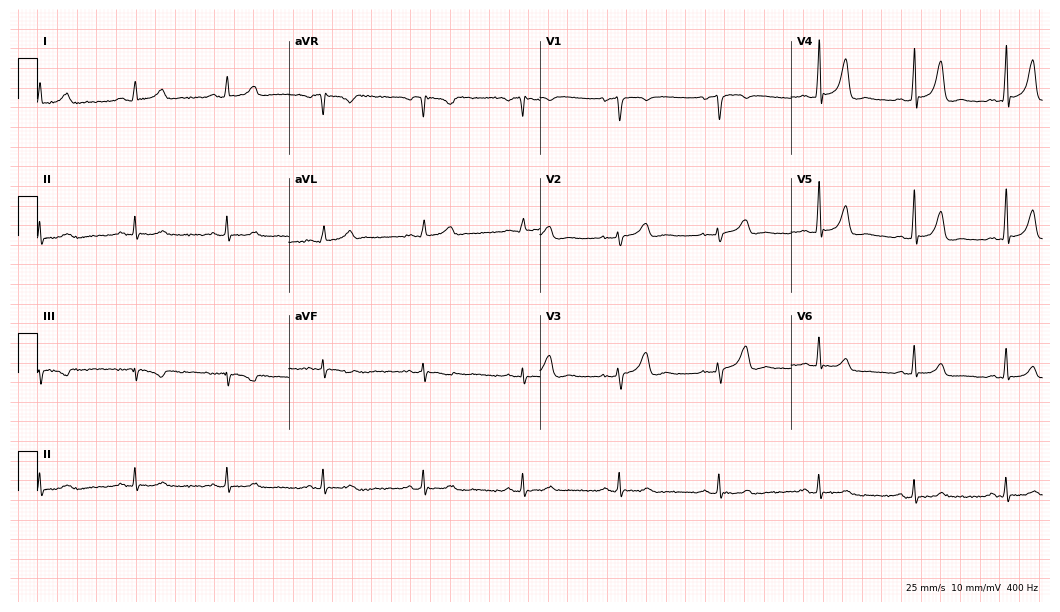
12-lead ECG from a 30-year-old woman (10.2-second recording at 400 Hz). No first-degree AV block, right bundle branch block (RBBB), left bundle branch block (LBBB), sinus bradycardia, atrial fibrillation (AF) or sinus tachycardia recorded for this tracing.